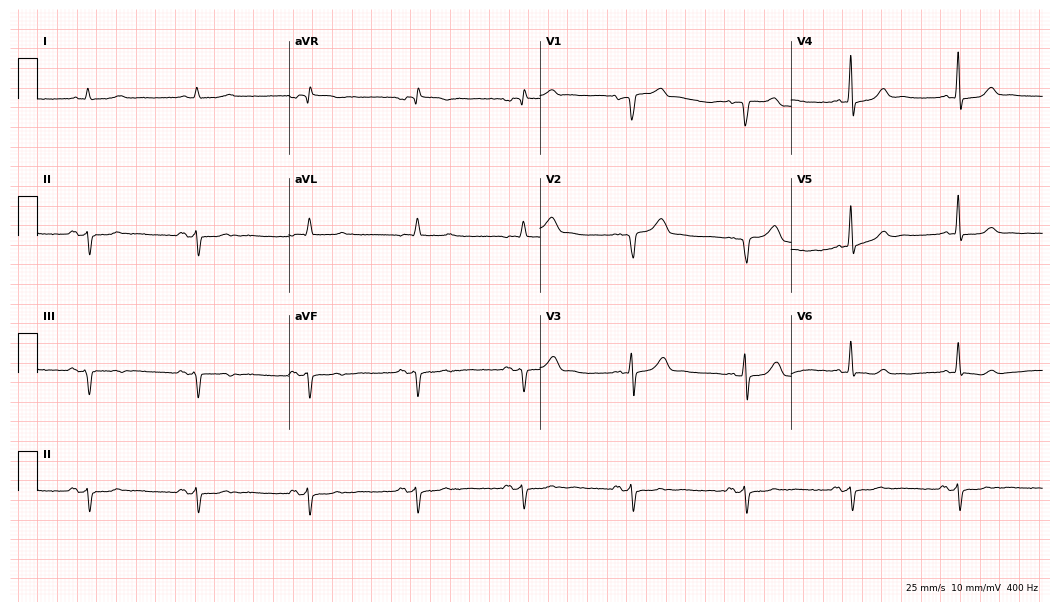
Standard 12-lead ECG recorded from a 60-year-old male patient. None of these six findings is recorded: first-degree AV block, right bundle branch block (RBBB), left bundle branch block (LBBB), sinus bradycardia, atrial fibrillation (AF), sinus tachycardia.